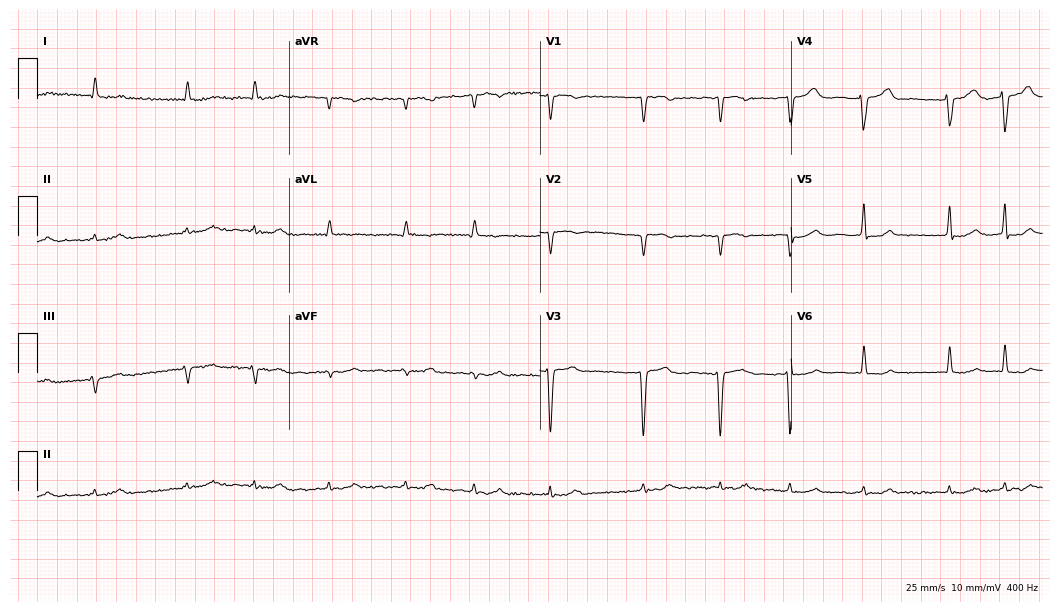
12-lead ECG from a 79-year-old male patient. Shows atrial fibrillation (AF).